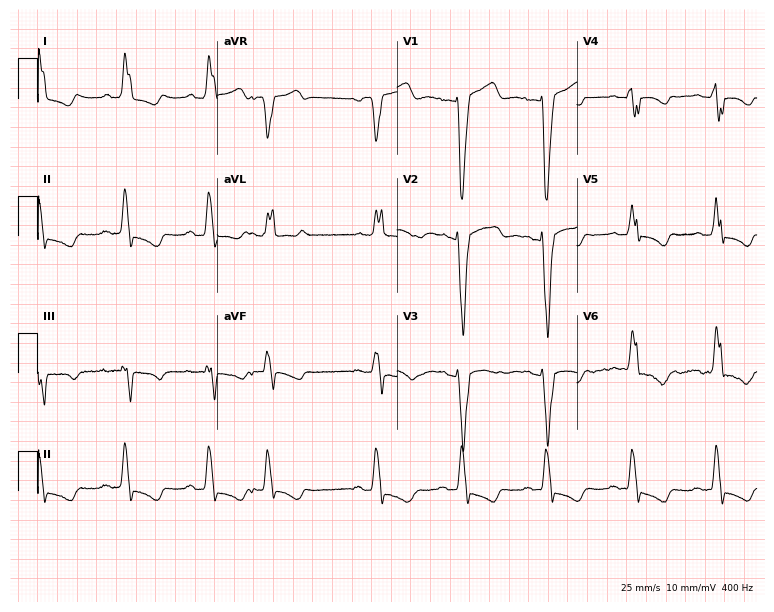
Standard 12-lead ECG recorded from a female, 64 years old. The tracing shows left bundle branch block (LBBB).